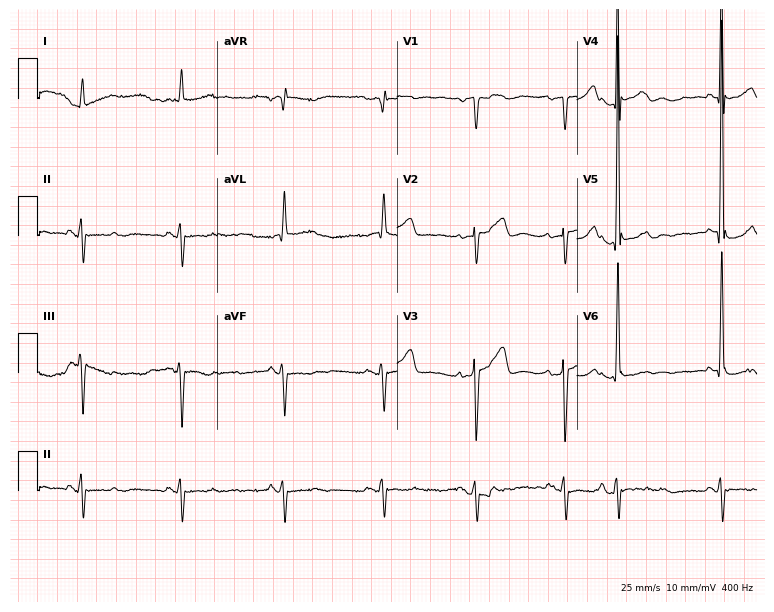
12-lead ECG from a man, 82 years old (7.3-second recording at 400 Hz). Recorded interpretation: within normal limits.